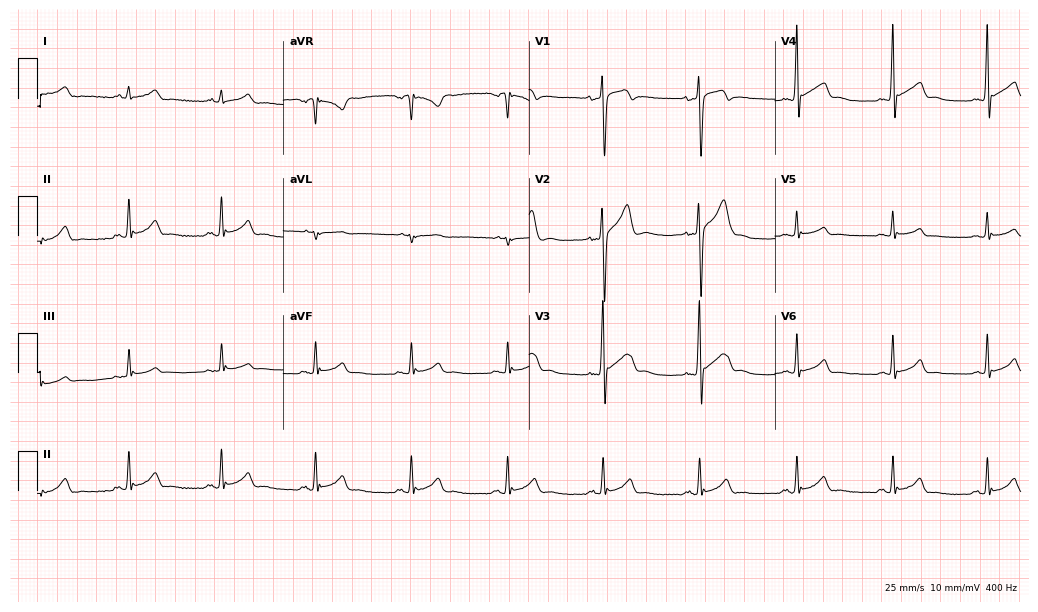
12-lead ECG (10-second recording at 400 Hz) from a male, 21 years old. Labelled as a normal ECG.